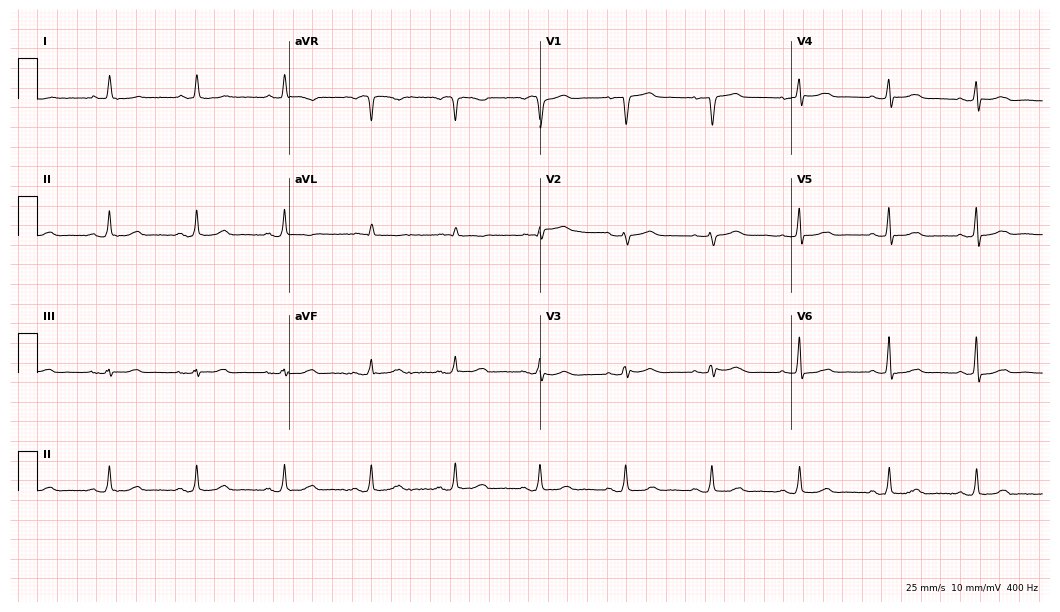
Standard 12-lead ECG recorded from an 83-year-old female patient. Read as a normal ECG.